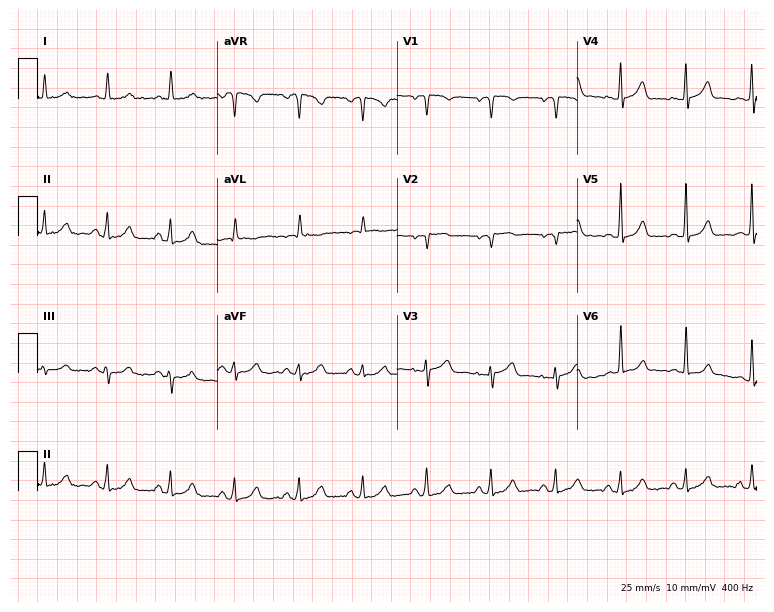
Electrocardiogram, a 61-year-old female. Of the six screened findings (first-degree AV block, right bundle branch block (RBBB), left bundle branch block (LBBB), sinus bradycardia, atrial fibrillation (AF), sinus tachycardia), none is recorded.